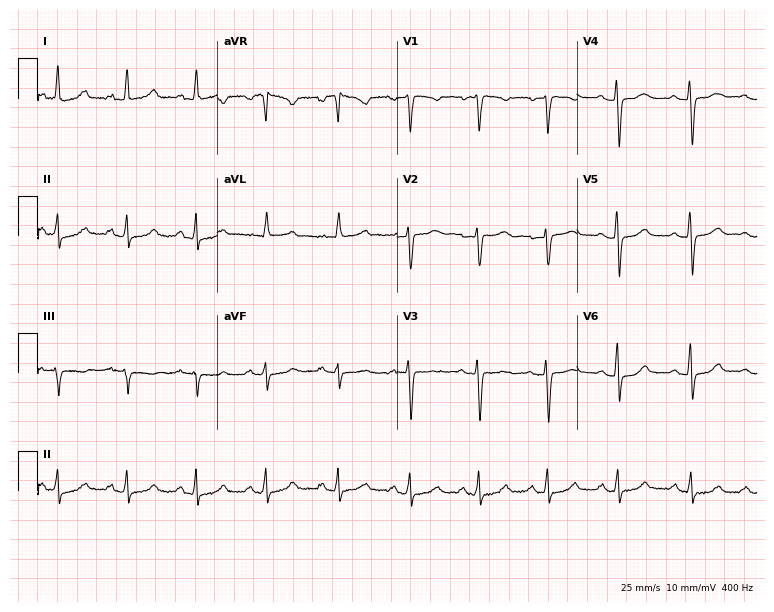
ECG (7.3-second recording at 400 Hz) — a woman, 40 years old. Labelled as a normal ECG.